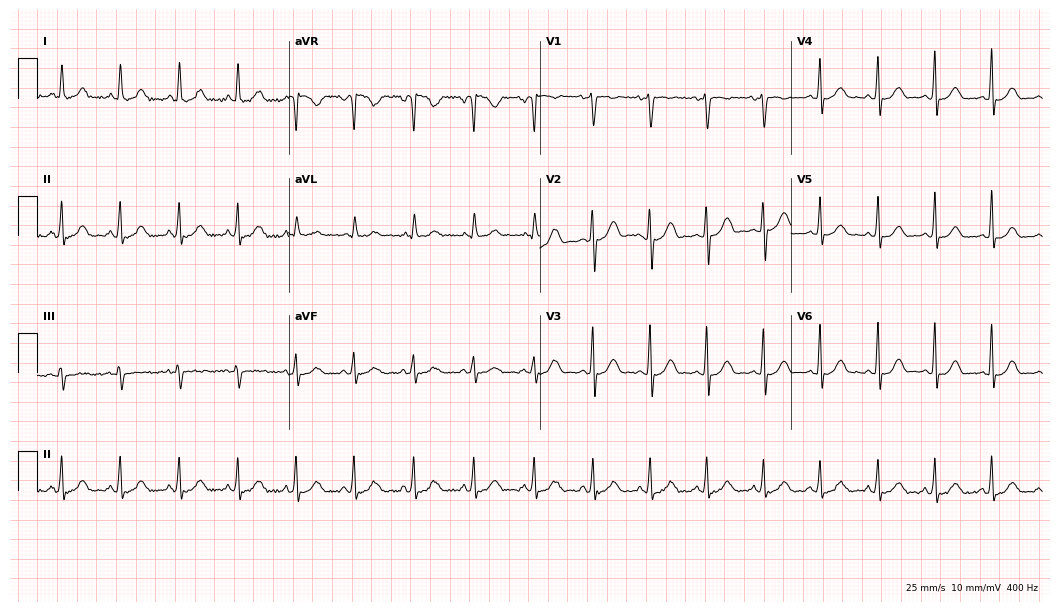
Standard 12-lead ECG recorded from a 33-year-old female (10.2-second recording at 400 Hz). The tracing shows sinus tachycardia (a sinus rate of 100 beats per minute or more).